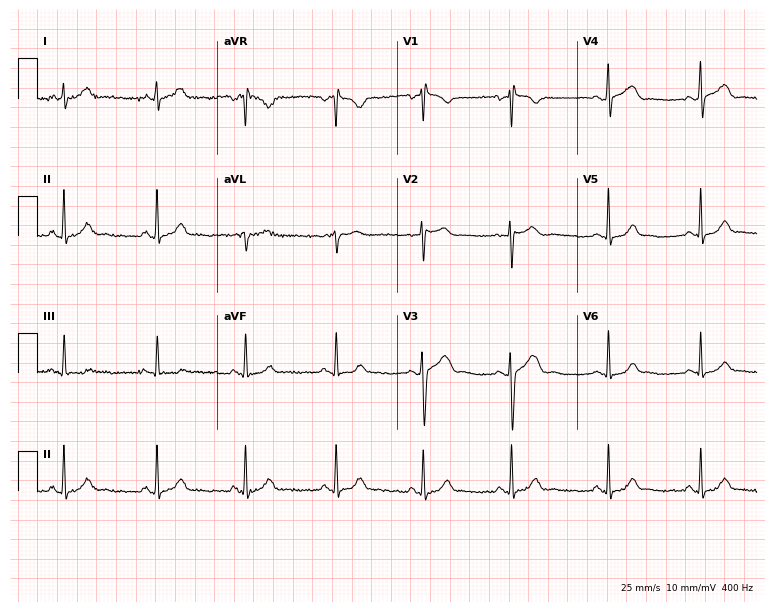
Standard 12-lead ECG recorded from a female, 27 years old. Read as a normal ECG.